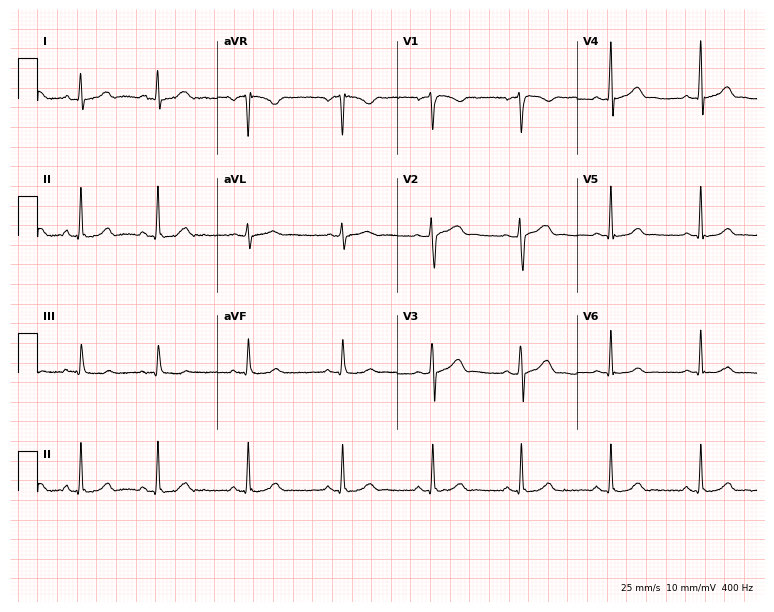
12-lead ECG (7.3-second recording at 400 Hz) from a 28-year-old female patient. Screened for six findings — first-degree AV block, right bundle branch block, left bundle branch block, sinus bradycardia, atrial fibrillation, sinus tachycardia — none is recorded.